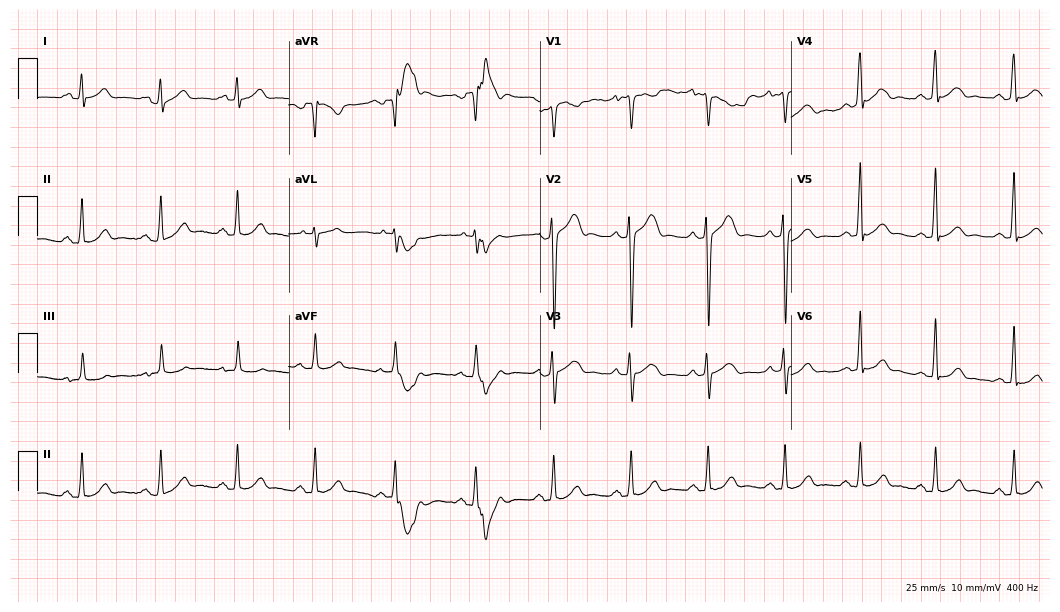
Resting 12-lead electrocardiogram (10.2-second recording at 400 Hz). Patient: a man, 18 years old. Read as a normal ECG.